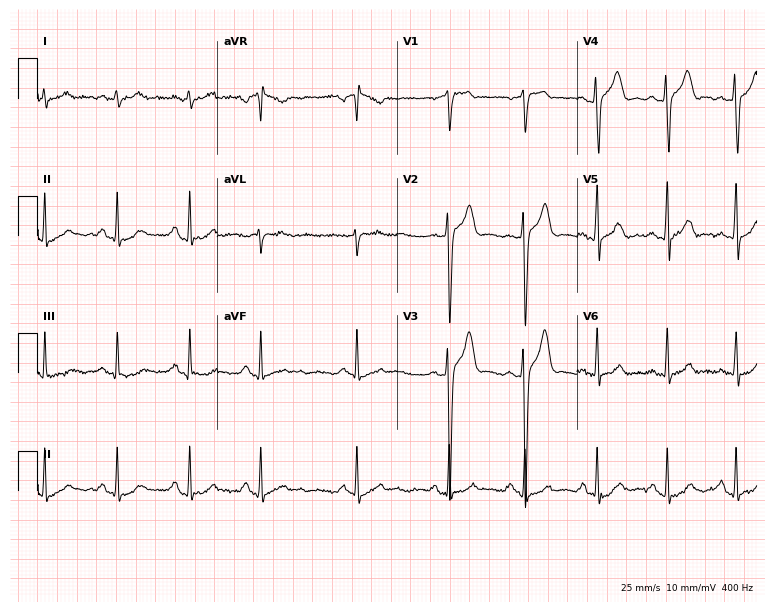
12-lead ECG (7.3-second recording at 400 Hz) from a 21-year-old male patient. Labelled as a normal ECG.